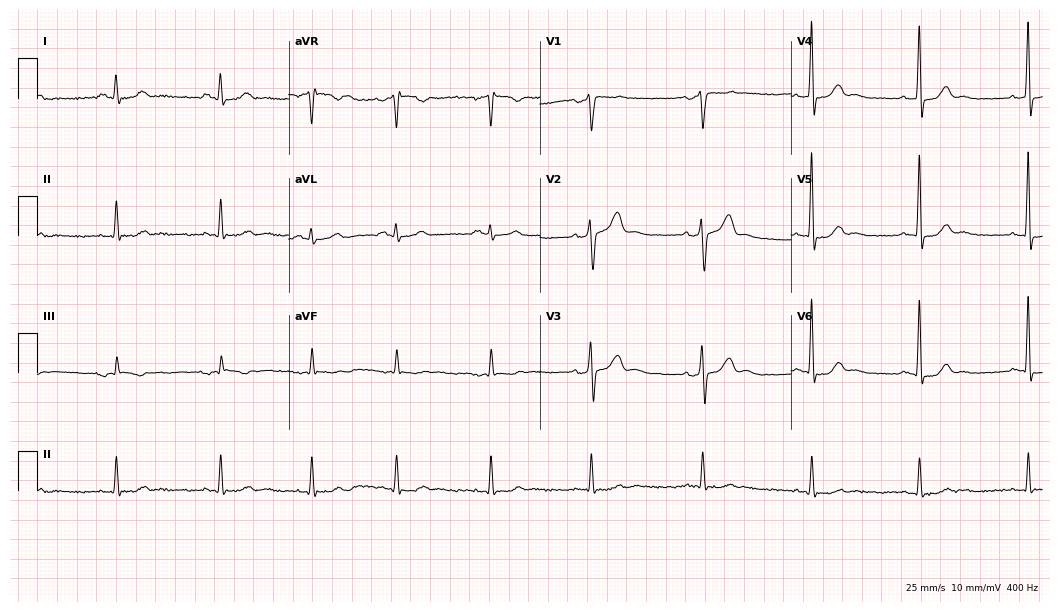
Electrocardiogram, a 55-year-old woman. Of the six screened findings (first-degree AV block, right bundle branch block, left bundle branch block, sinus bradycardia, atrial fibrillation, sinus tachycardia), none is recorded. Only these six findings were labelled.